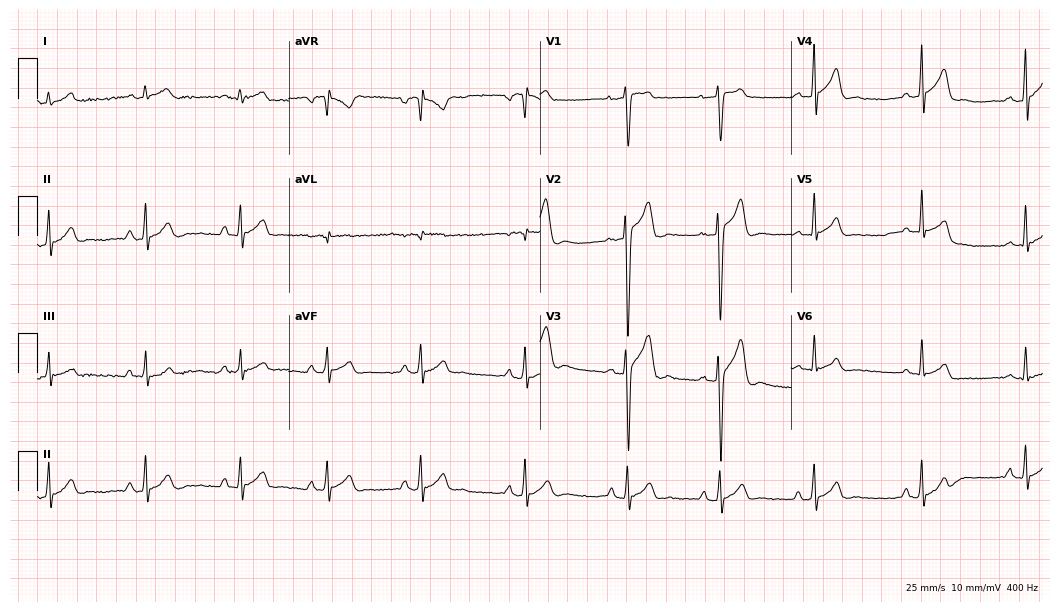
Resting 12-lead electrocardiogram. Patient: a man, 28 years old. None of these six findings is recorded: first-degree AV block, right bundle branch block (RBBB), left bundle branch block (LBBB), sinus bradycardia, atrial fibrillation (AF), sinus tachycardia. Only these six findings were labelled.